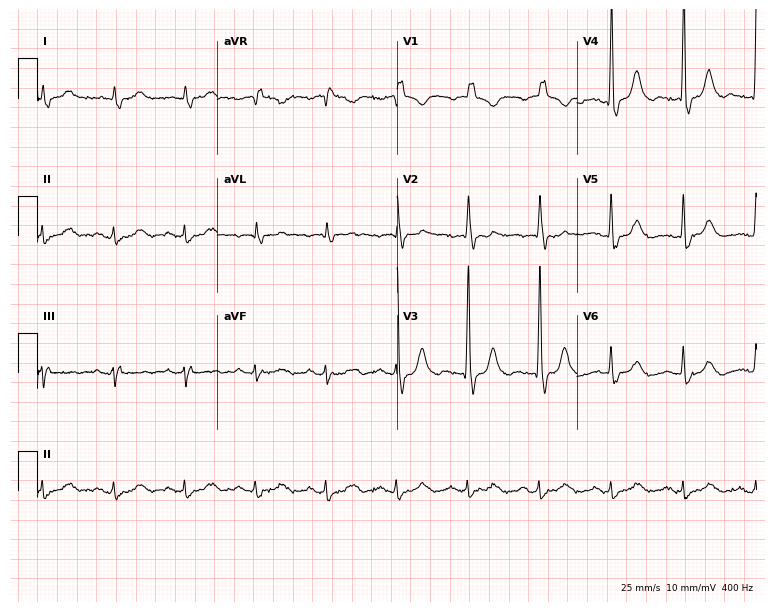
ECG — a male patient, 74 years old. Findings include right bundle branch block.